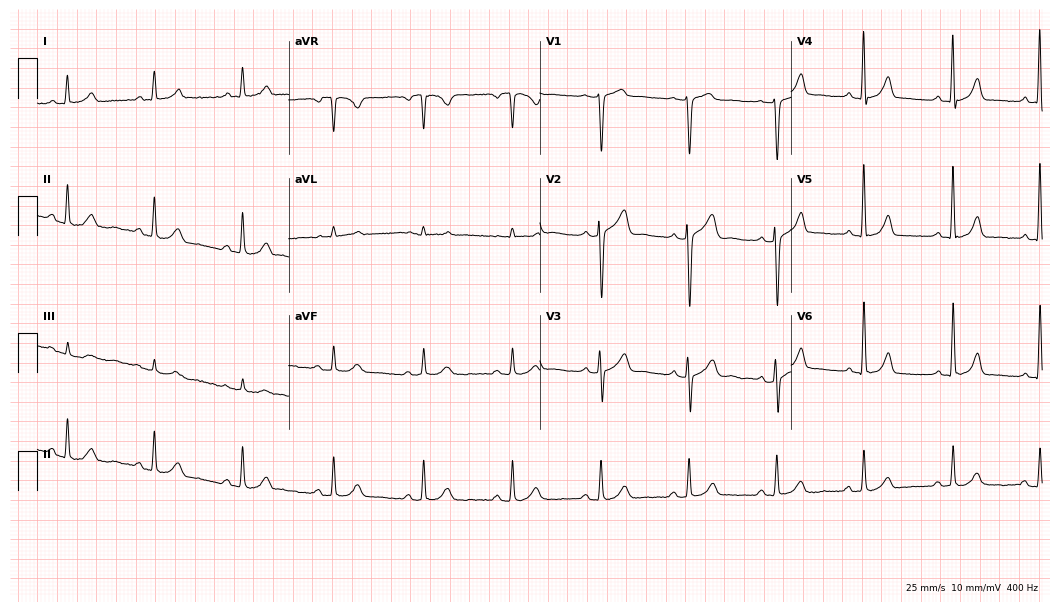
ECG (10.2-second recording at 400 Hz) — a man, 56 years old. Labelled as a normal ECG.